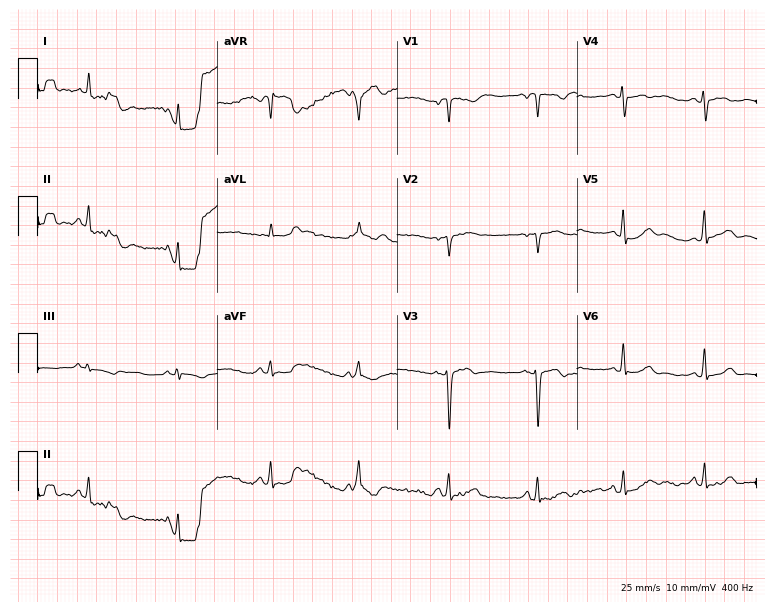
12-lead ECG from a 23-year-old female. No first-degree AV block, right bundle branch block, left bundle branch block, sinus bradycardia, atrial fibrillation or sinus tachycardia recorded for this tracing.